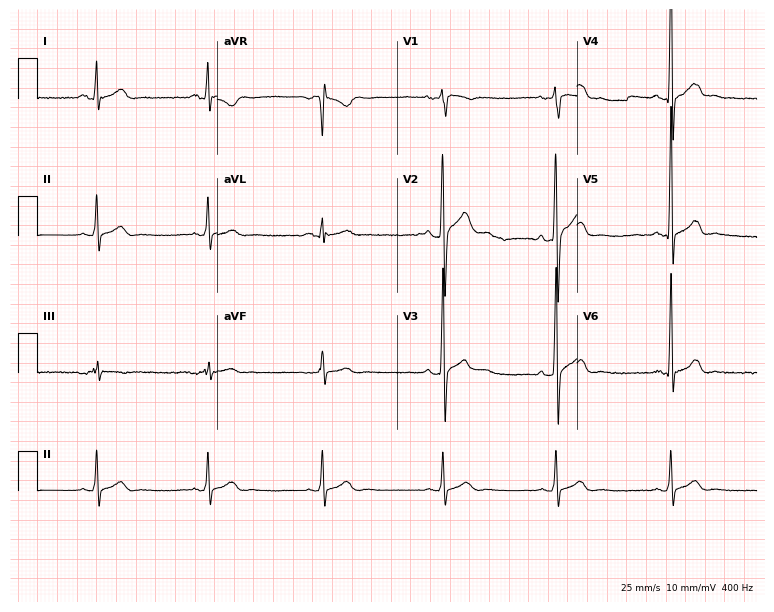
Electrocardiogram, a 27-year-old male patient. Overall reading on record: normal ECG.